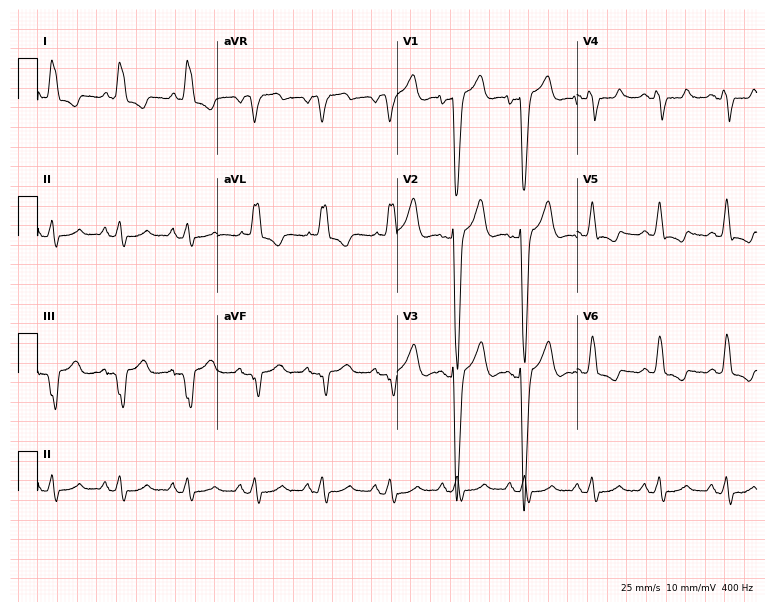
Resting 12-lead electrocardiogram (7.3-second recording at 400 Hz). Patient: a 69-year-old woman. None of these six findings is recorded: first-degree AV block, right bundle branch block, left bundle branch block, sinus bradycardia, atrial fibrillation, sinus tachycardia.